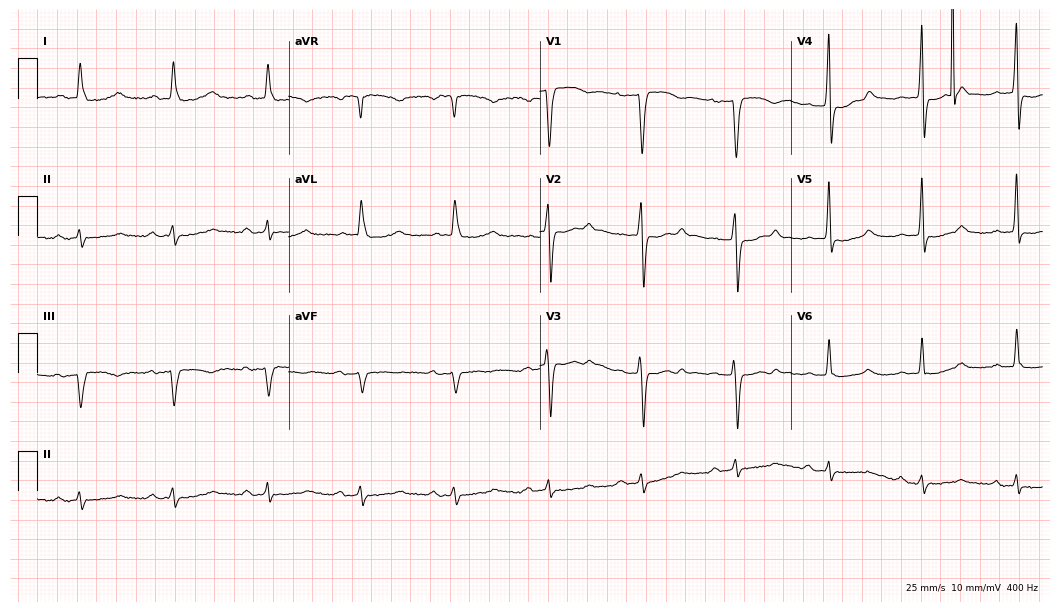
Resting 12-lead electrocardiogram (10.2-second recording at 400 Hz). Patient: a female, 86 years old. None of these six findings is recorded: first-degree AV block, right bundle branch block, left bundle branch block, sinus bradycardia, atrial fibrillation, sinus tachycardia. Findings outside these six are not listed.